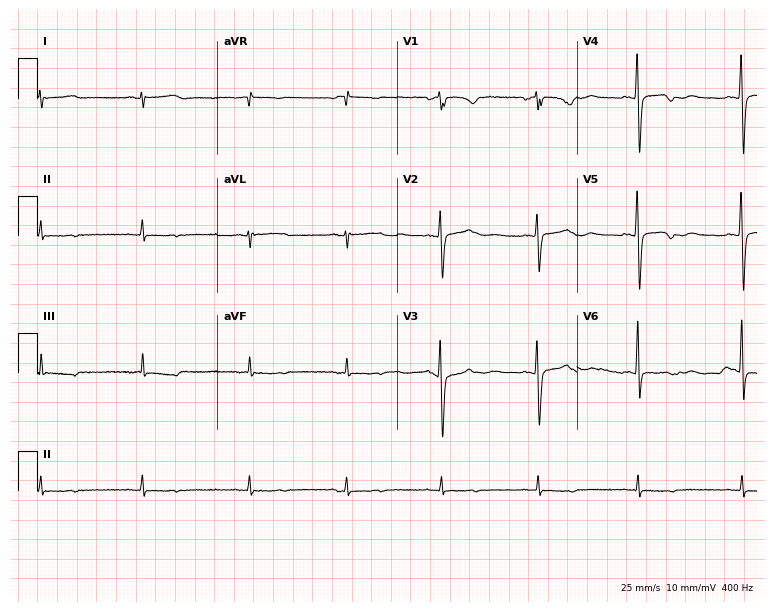
12-lead ECG from a female, 35 years old. Screened for six findings — first-degree AV block, right bundle branch block (RBBB), left bundle branch block (LBBB), sinus bradycardia, atrial fibrillation (AF), sinus tachycardia — none is recorded. Findings outside these six are not listed.